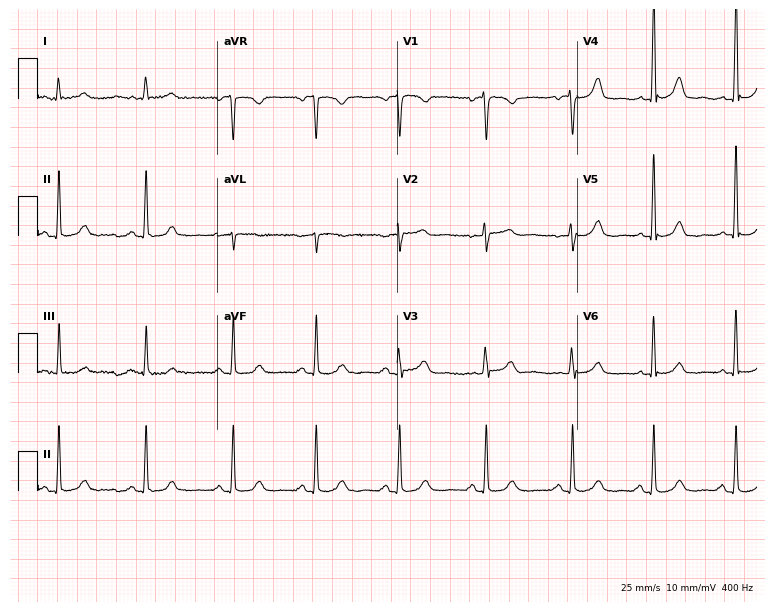
12-lead ECG from a female patient, 53 years old. No first-degree AV block, right bundle branch block, left bundle branch block, sinus bradycardia, atrial fibrillation or sinus tachycardia recorded for this tracing. Other findings, if any, are not listed.